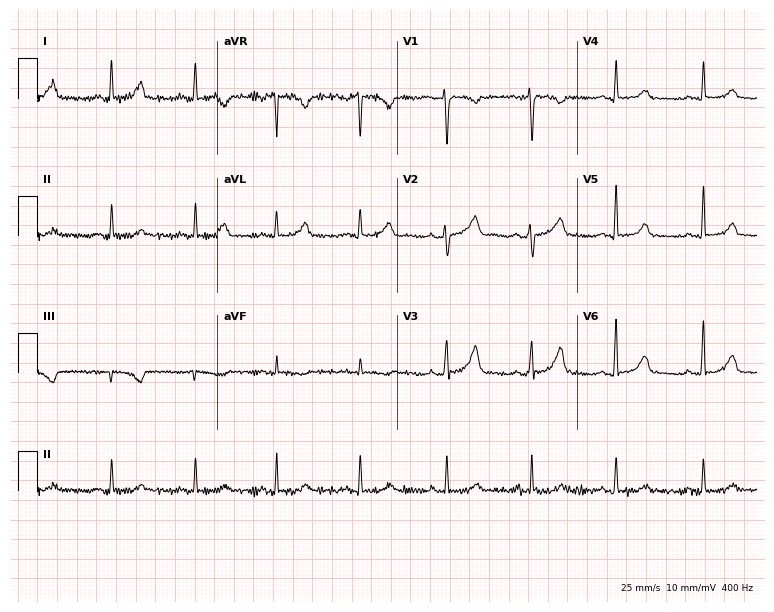
Standard 12-lead ECG recorded from a woman, 40 years old. Read as a normal ECG.